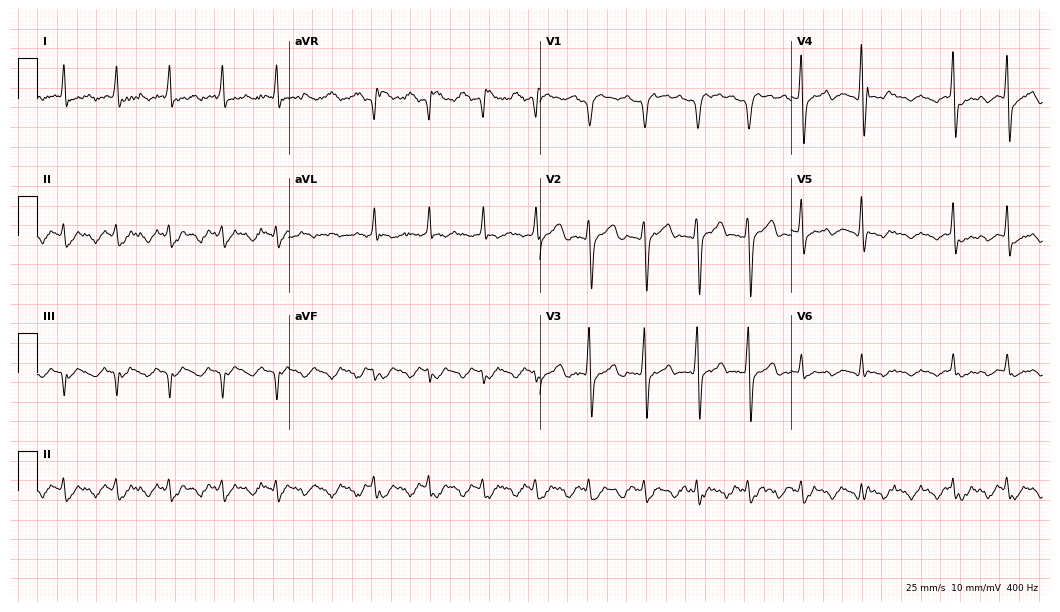
12-lead ECG (10.2-second recording at 400 Hz) from a male, 72 years old. Findings include atrial fibrillation.